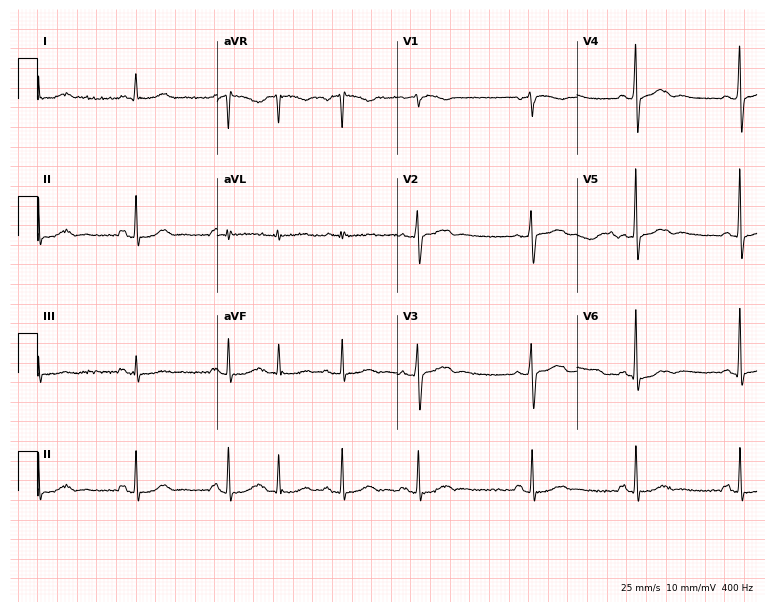
12-lead ECG from a 67-year-old female patient. No first-degree AV block, right bundle branch block, left bundle branch block, sinus bradycardia, atrial fibrillation or sinus tachycardia recorded for this tracing.